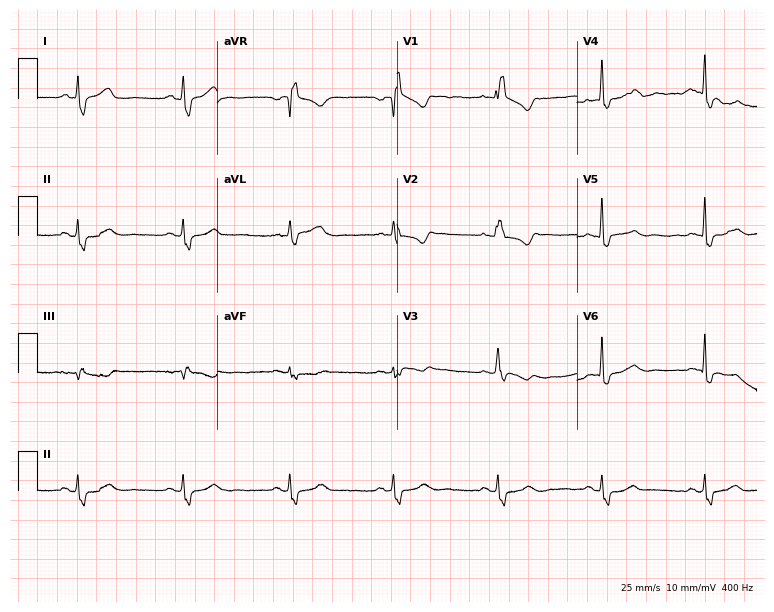
Standard 12-lead ECG recorded from a woman, 53 years old. The tracing shows right bundle branch block (RBBB).